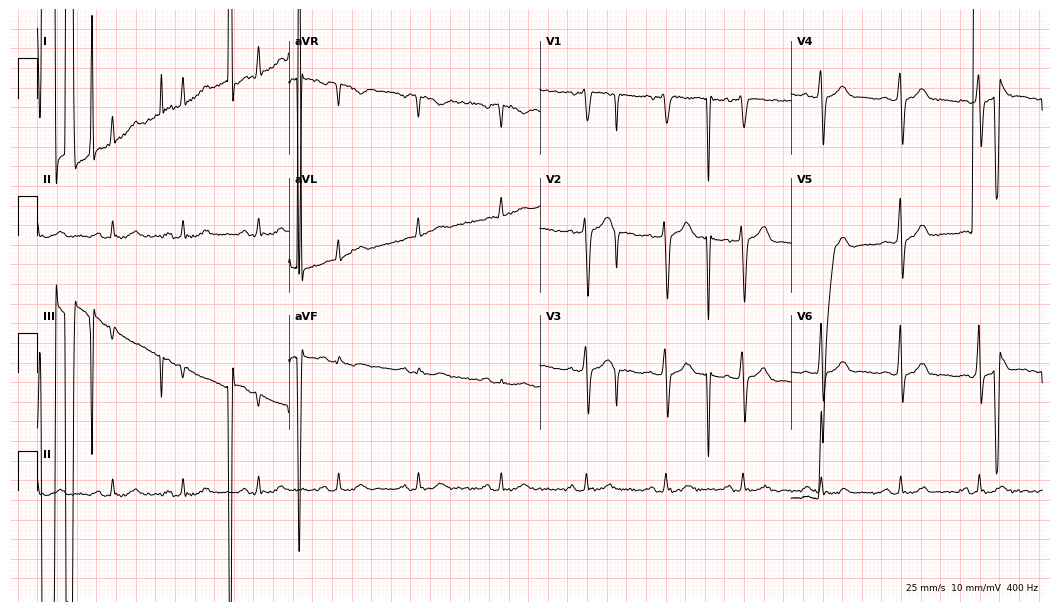
Resting 12-lead electrocardiogram (10.2-second recording at 400 Hz). Patient: a 50-year-old man. None of these six findings is recorded: first-degree AV block, right bundle branch block, left bundle branch block, sinus bradycardia, atrial fibrillation, sinus tachycardia.